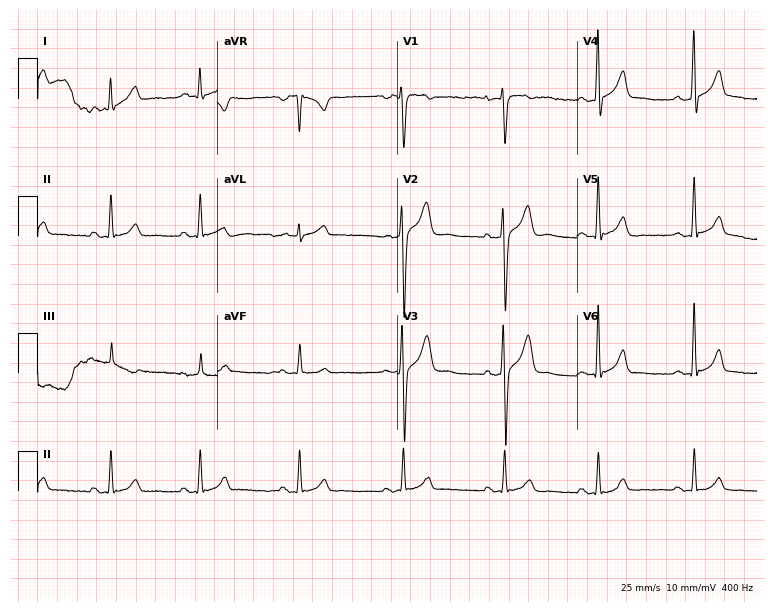
Standard 12-lead ECG recorded from a man, 39 years old. Read as a normal ECG.